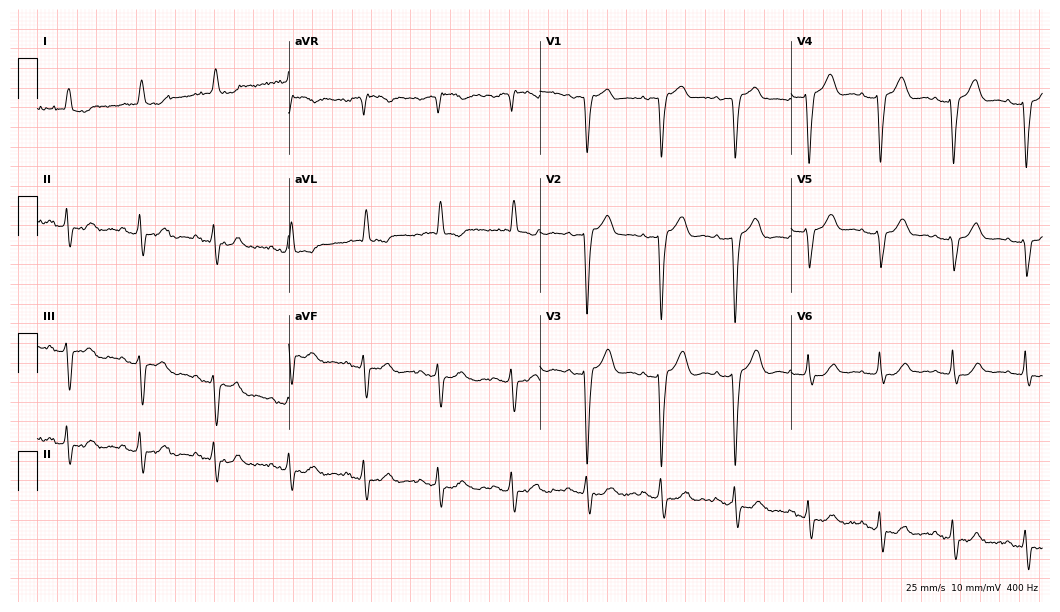
12-lead ECG from a male, 84 years old (10.2-second recording at 400 Hz). No first-degree AV block, right bundle branch block, left bundle branch block, sinus bradycardia, atrial fibrillation or sinus tachycardia recorded for this tracing. Only these six findings were labelled.